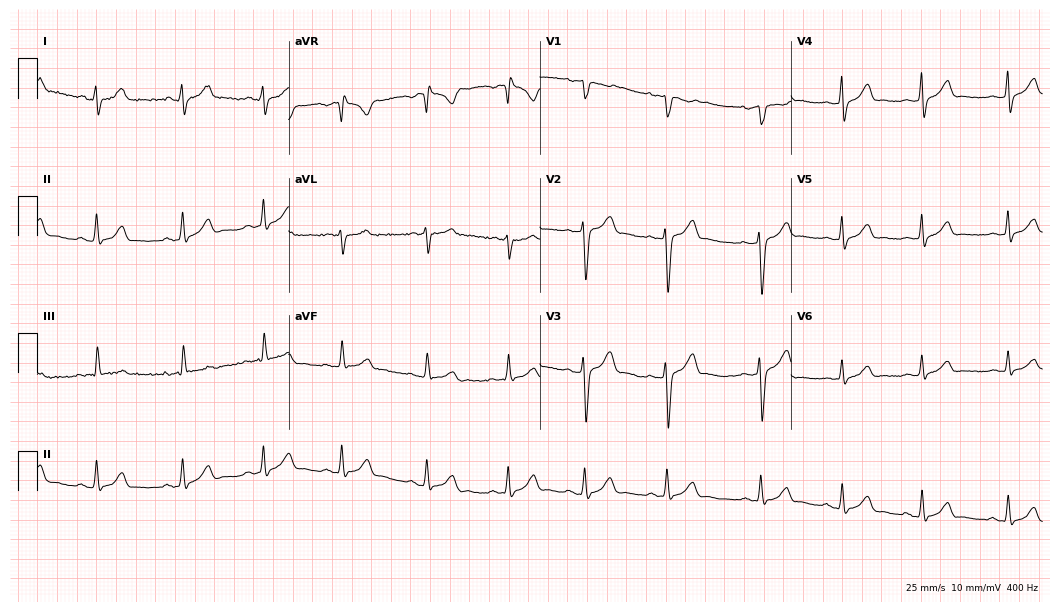
Resting 12-lead electrocardiogram. Patient: a 23-year-old woman. Read as a normal ECG.